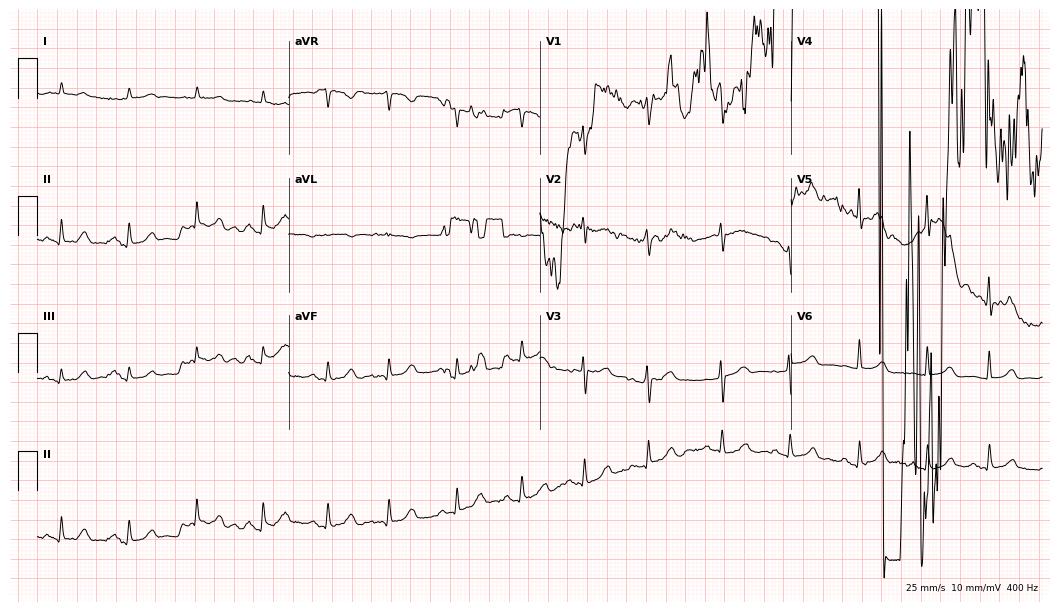
Electrocardiogram (10.2-second recording at 400 Hz), a woman, 81 years old. Of the six screened findings (first-degree AV block, right bundle branch block, left bundle branch block, sinus bradycardia, atrial fibrillation, sinus tachycardia), none is recorded.